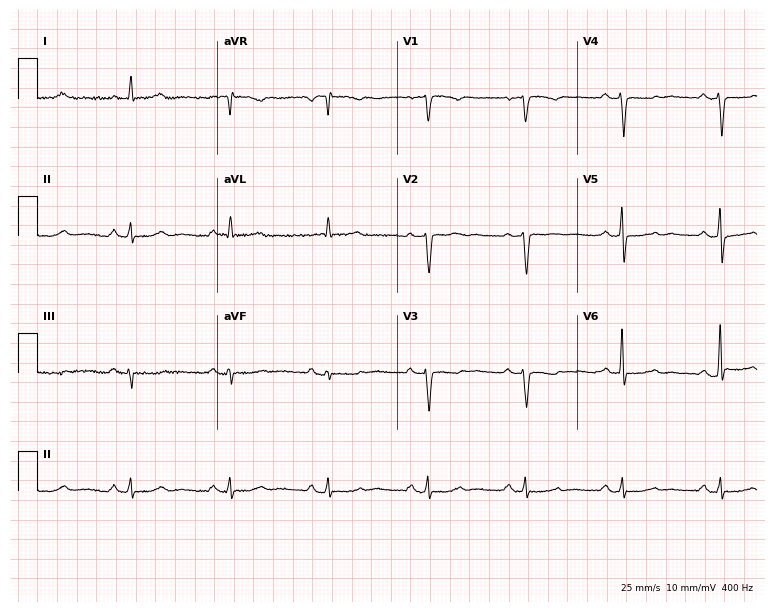
Resting 12-lead electrocardiogram (7.3-second recording at 400 Hz). Patient: a 57-year-old woman. None of these six findings is recorded: first-degree AV block, right bundle branch block, left bundle branch block, sinus bradycardia, atrial fibrillation, sinus tachycardia.